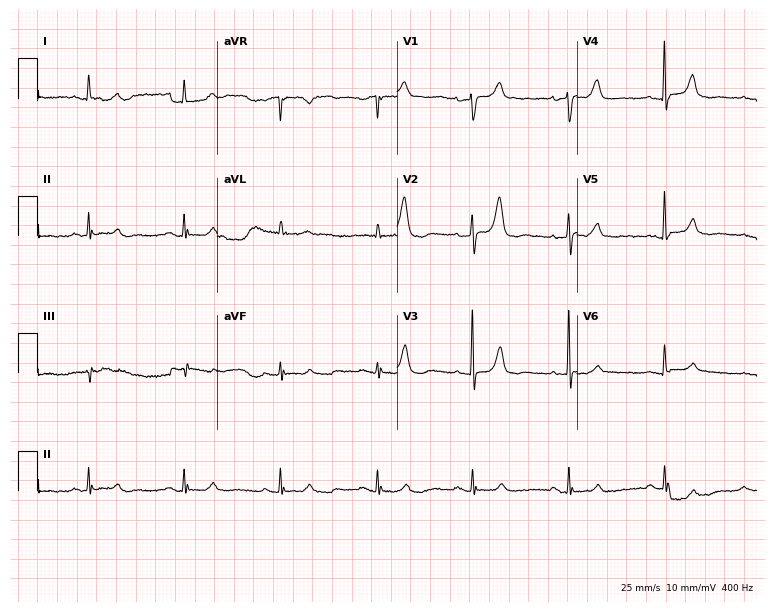
12-lead ECG from an 85-year-old woman (7.3-second recording at 400 Hz). Recorded interpretation: within normal limits.